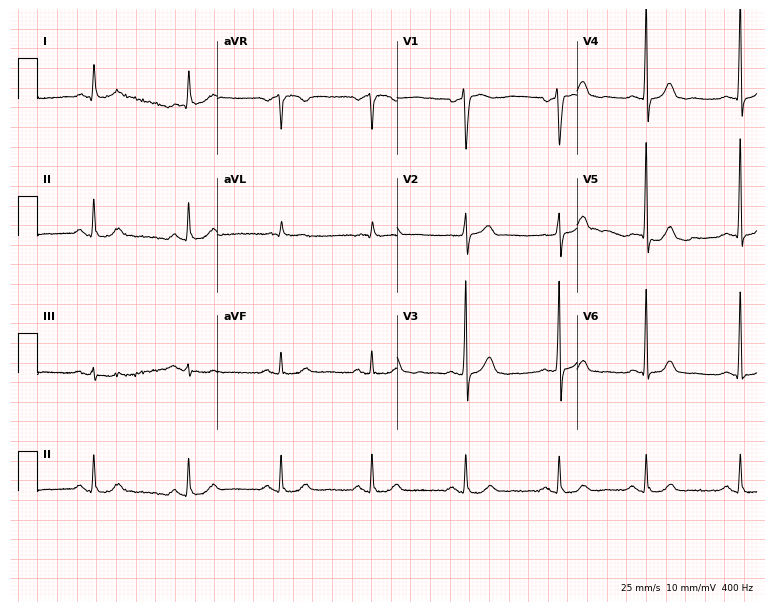
12-lead ECG from a 69-year-old male patient. No first-degree AV block, right bundle branch block, left bundle branch block, sinus bradycardia, atrial fibrillation or sinus tachycardia recorded for this tracing.